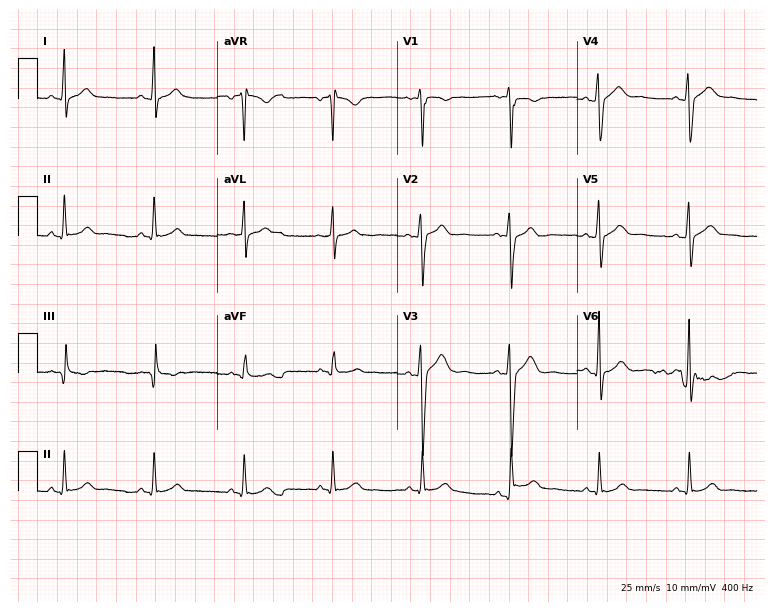
Standard 12-lead ECG recorded from a 21-year-old male. Read as a normal ECG.